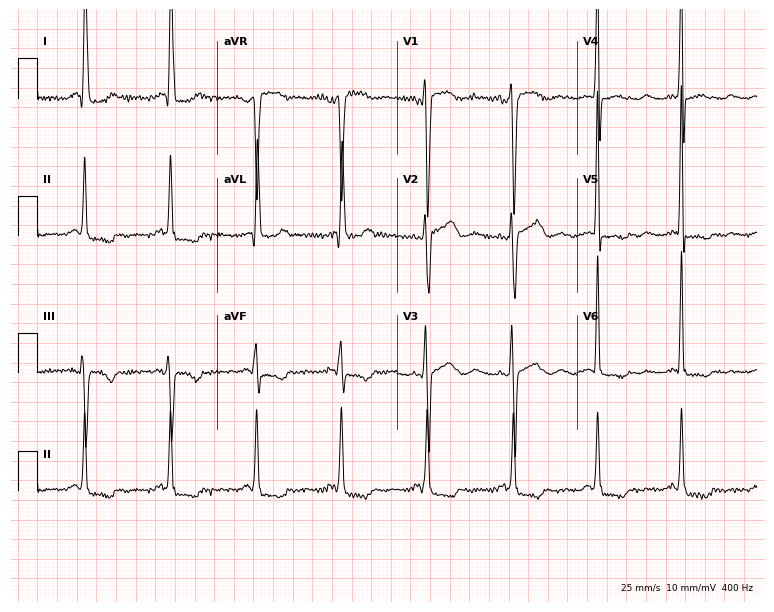
Standard 12-lead ECG recorded from a 62-year-old female patient. None of these six findings is recorded: first-degree AV block, right bundle branch block, left bundle branch block, sinus bradycardia, atrial fibrillation, sinus tachycardia. Only these six findings were labelled.